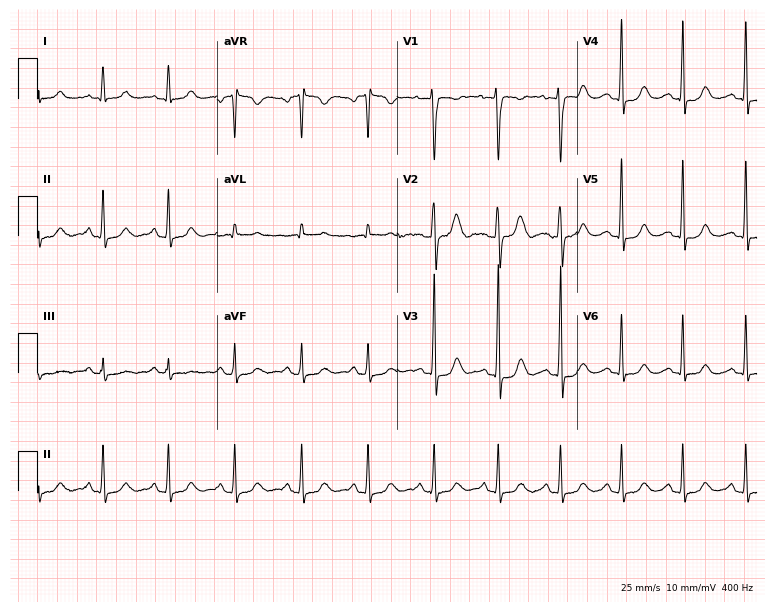
12-lead ECG from a 35-year-old female patient (7.3-second recording at 400 Hz). Recorded interpretation: within normal limits.